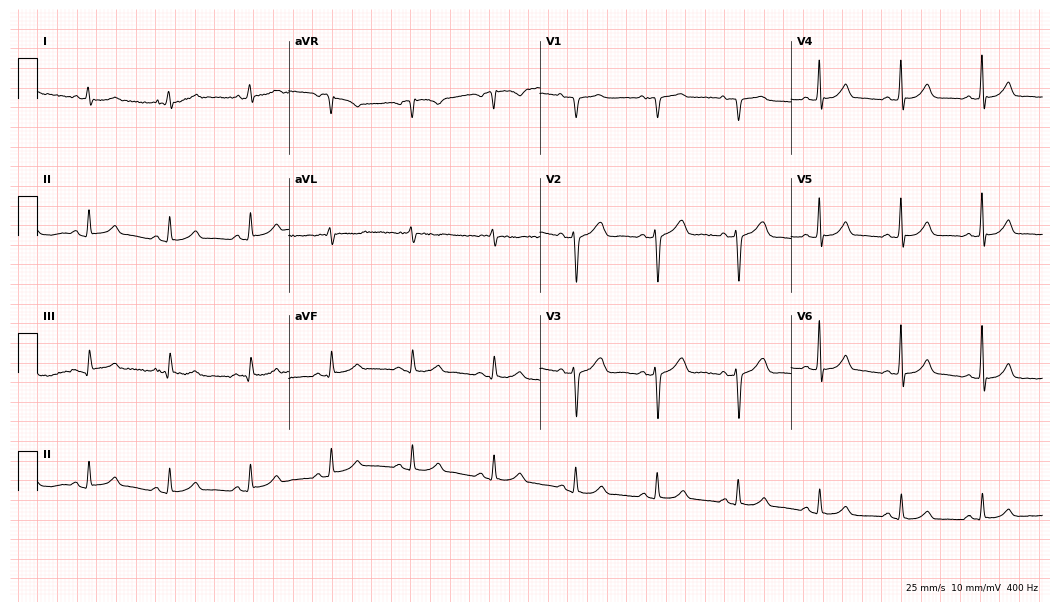
12-lead ECG from a male patient, 70 years old. Recorded interpretation: within normal limits.